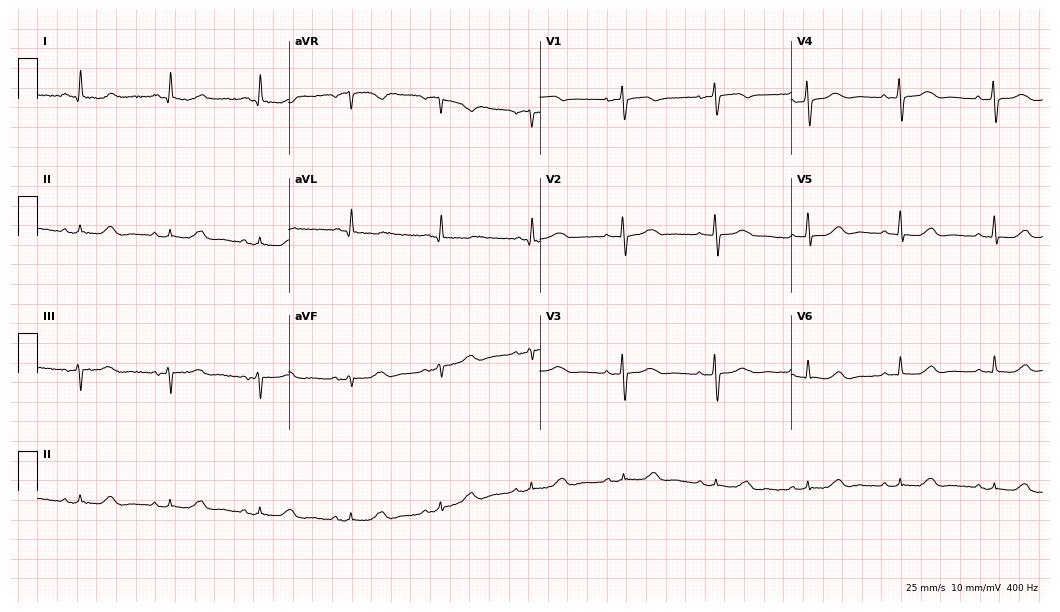
Resting 12-lead electrocardiogram (10.2-second recording at 400 Hz). Patient: a 75-year-old woman. Read as a normal ECG.